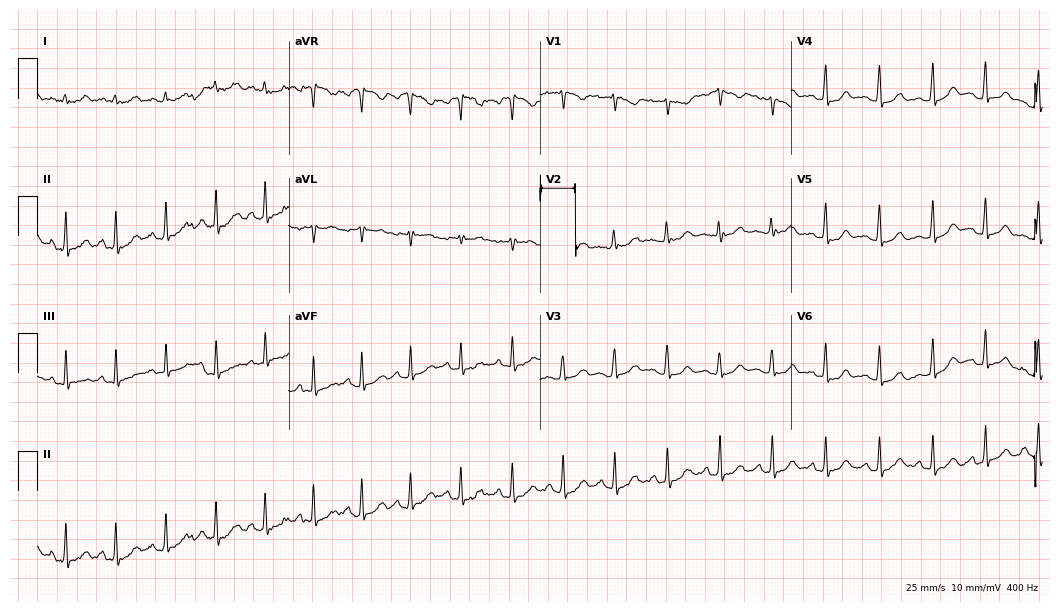
12-lead ECG from a female patient, 20 years old. Shows atrial fibrillation, sinus tachycardia (a sinus rate of 100 beats per minute or more).